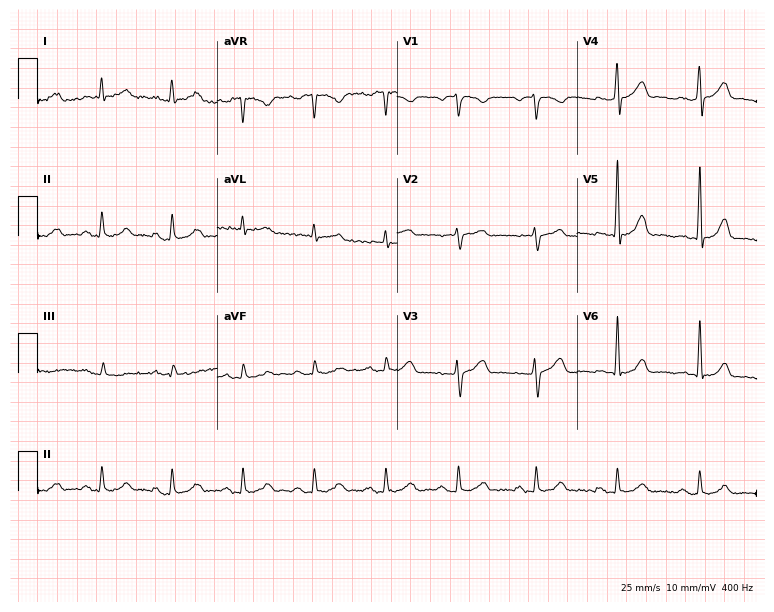
12-lead ECG (7.3-second recording at 400 Hz) from a 50-year-old male. Screened for six findings — first-degree AV block, right bundle branch block, left bundle branch block, sinus bradycardia, atrial fibrillation, sinus tachycardia — none is recorded. Only these six findings were labelled.